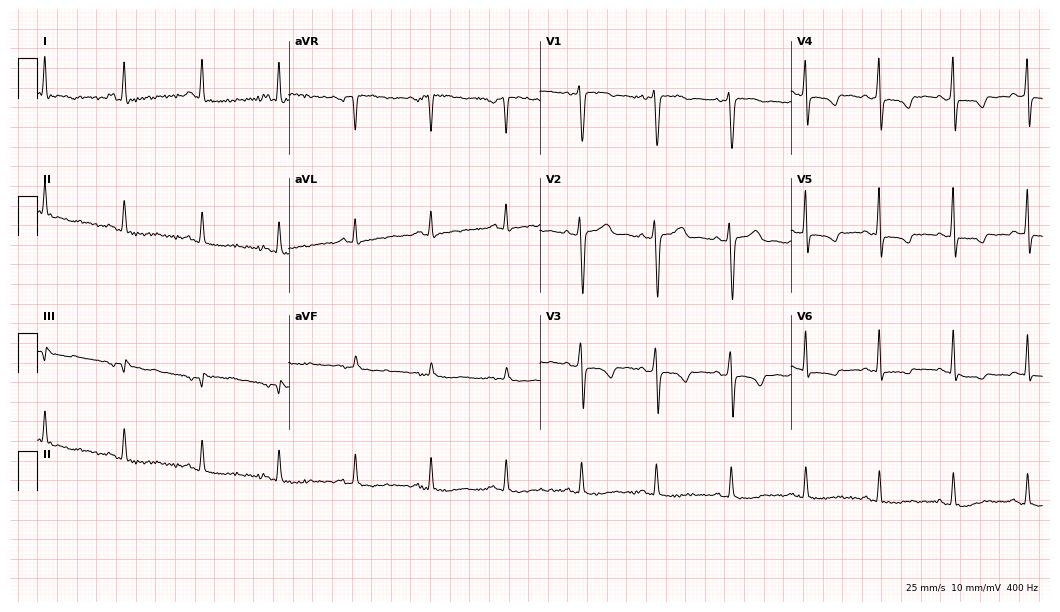
Electrocardiogram (10.2-second recording at 400 Hz), a 43-year-old female. Of the six screened findings (first-degree AV block, right bundle branch block, left bundle branch block, sinus bradycardia, atrial fibrillation, sinus tachycardia), none is recorded.